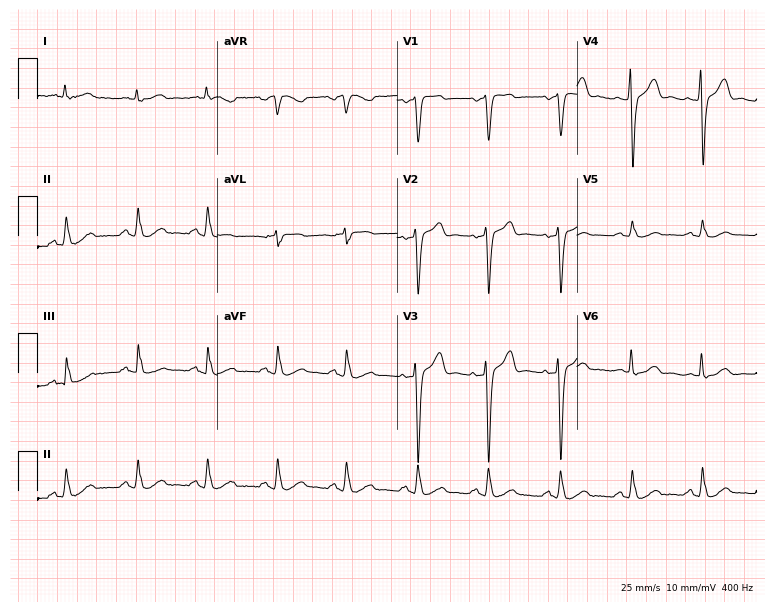
12-lead ECG (7.3-second recording at 400 Hz) from a male patient, 65 years old. Screened for six findings — first-degree AV block, right bundle branch block, left bundle branch block, sinus bradycardia, atrial fibrillation, sinus tachycardia — none is recorded. Findings outside these six are not listed.